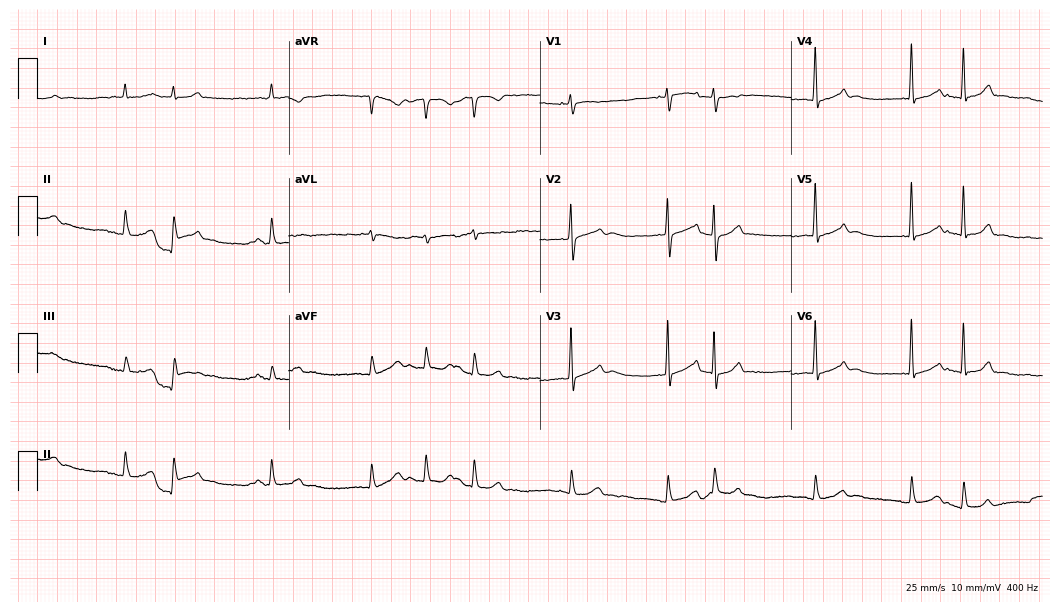
Standard 12-lead ECG recorded from a female patient, 79 years old (10.2-second recording at 400 Hz). None of these six findings is recorded: first-degree AV block, right bundle branch block, left bundle branch block, sinus bradycardia, atrial fibrillation, sinus tachycardia.